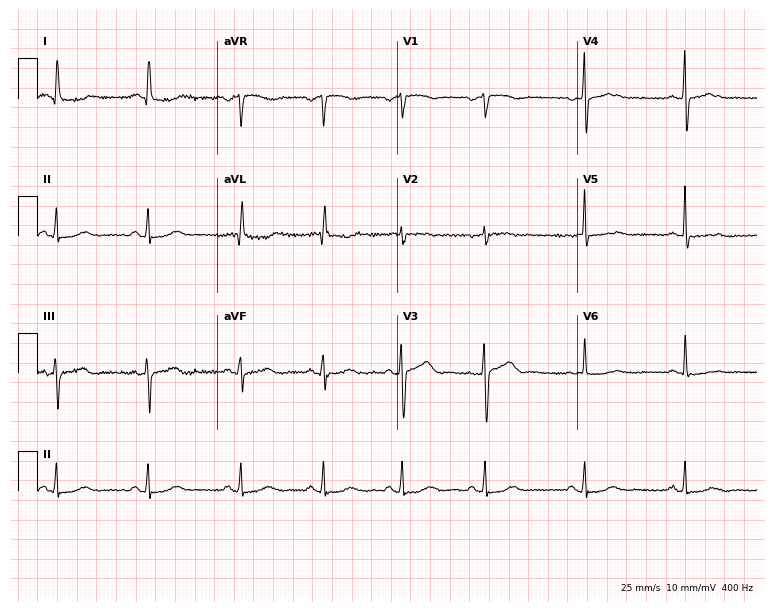
Standard 12-lead ECG recorded from a 52-year-old woman. None of these six findings is recorded: first-degree AV block, right bundle branch block (RBBB), left bundle branch block (LBBB), sinus bradycardia, atrial fibrillation (AF), sinus tachycardia. Other findings, if any, are not listed.